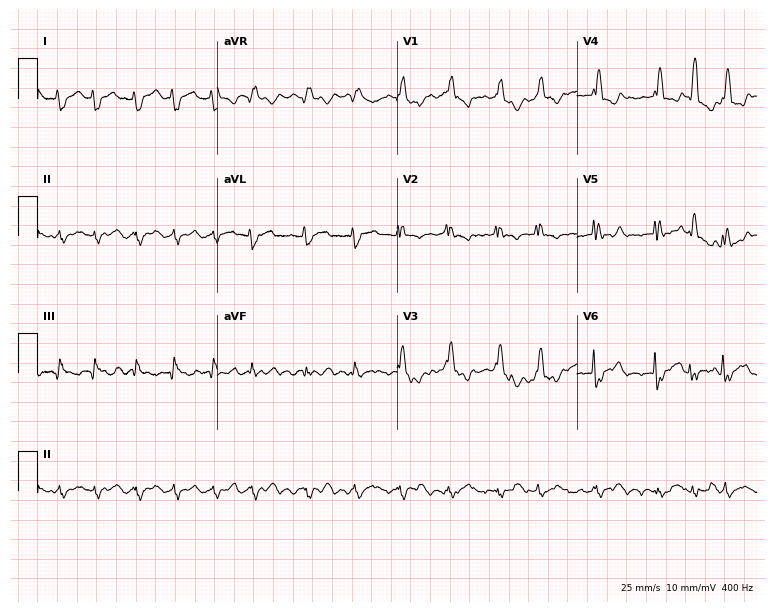
Electrocardiogram, a woman, 82 years old. Interpretation includes right bundle branch block (RBBB), atrial fibrillation (AF).